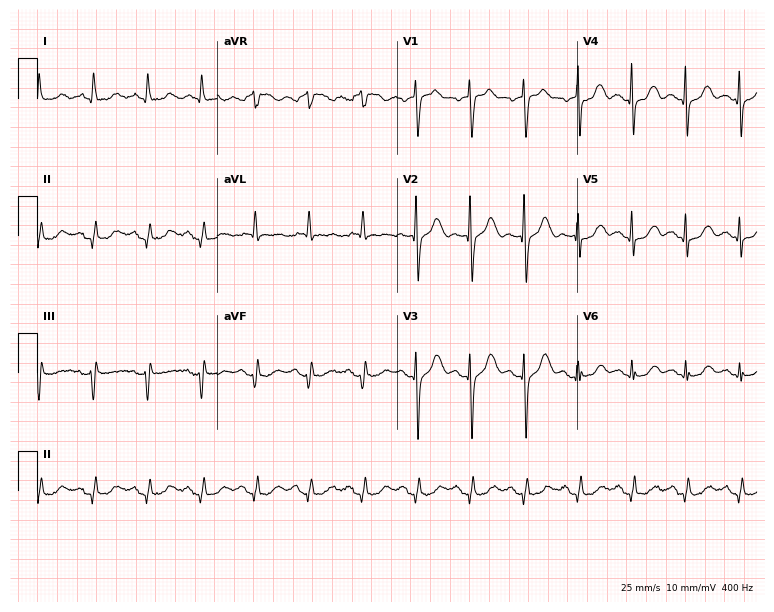
ECG (7.3-second recording at 400 Hz) — an 80-year-old woman. Screened for six findings — first-degree AV block, right bundle branch block, left bundle branch block, sinus bradycardia, atrial fibrillation, sinus tachycardia — none is recorded. Only these six findings were labelled.